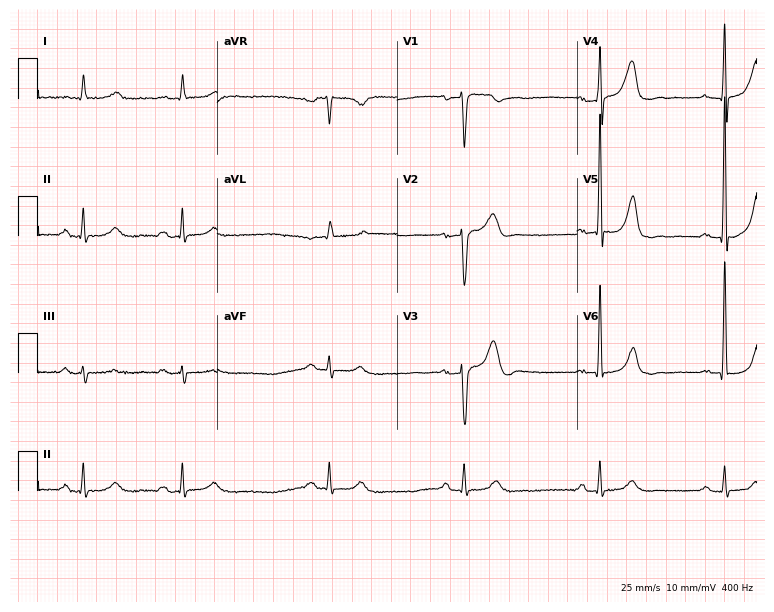
Standard 12-lead ECG recorded from a male, 83 years old. The tracing shows sinus bradycardia (a sinus rate of 50 beats per minute or less).